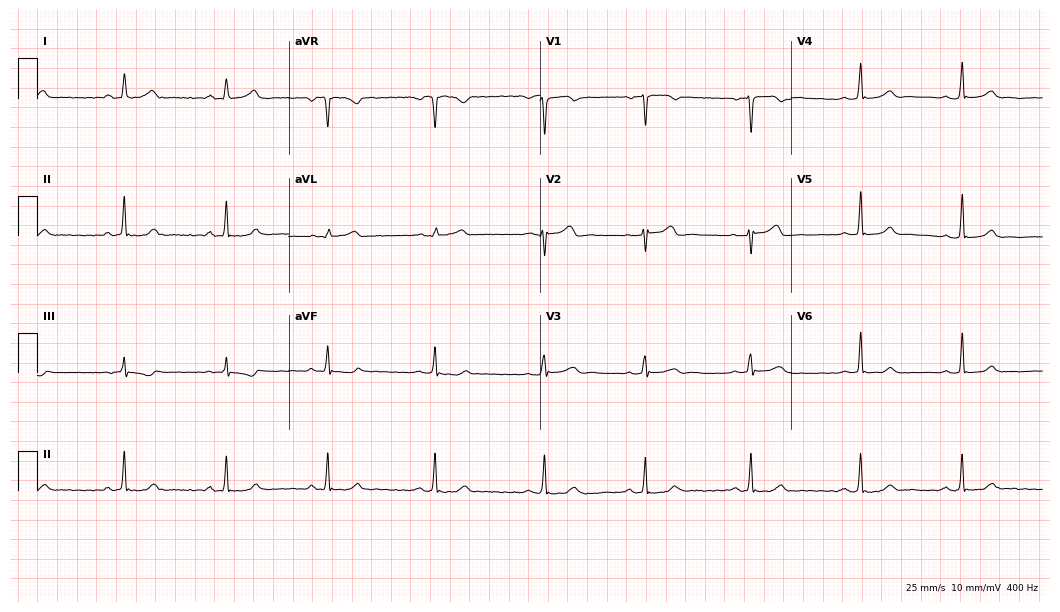
Resting 12-lead electrocardiogram (10.2-second recording at 400 Hz). Patient: a 27-year-old female. Read as a normal ECG.